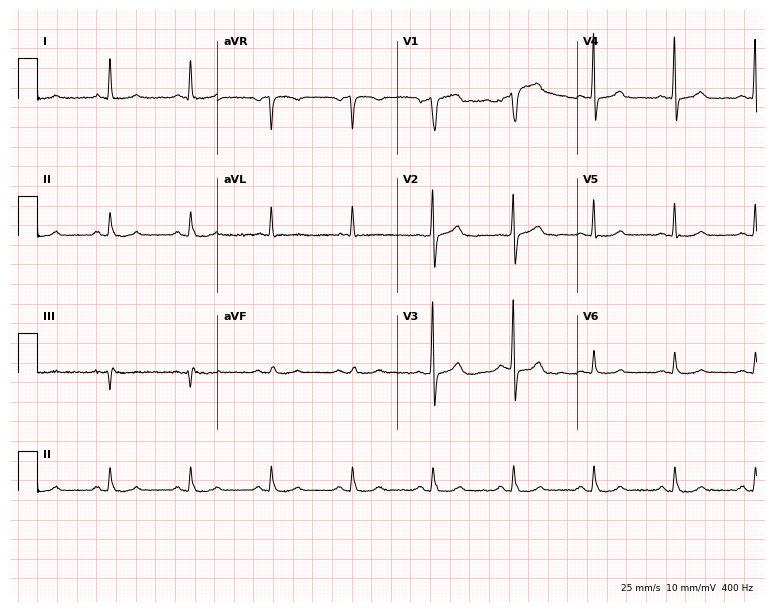
Resting 12-lead electrocardiogram (7.3-second recording at 400 Hz). Patient: a 62-year-old male. None of these six findings is recorded: first-degree AV block, right bundle branch block, left bundle branch block, sinus bradycardia, atrial fibrillation, sinus tachycardia. Only these six findings were labelled.